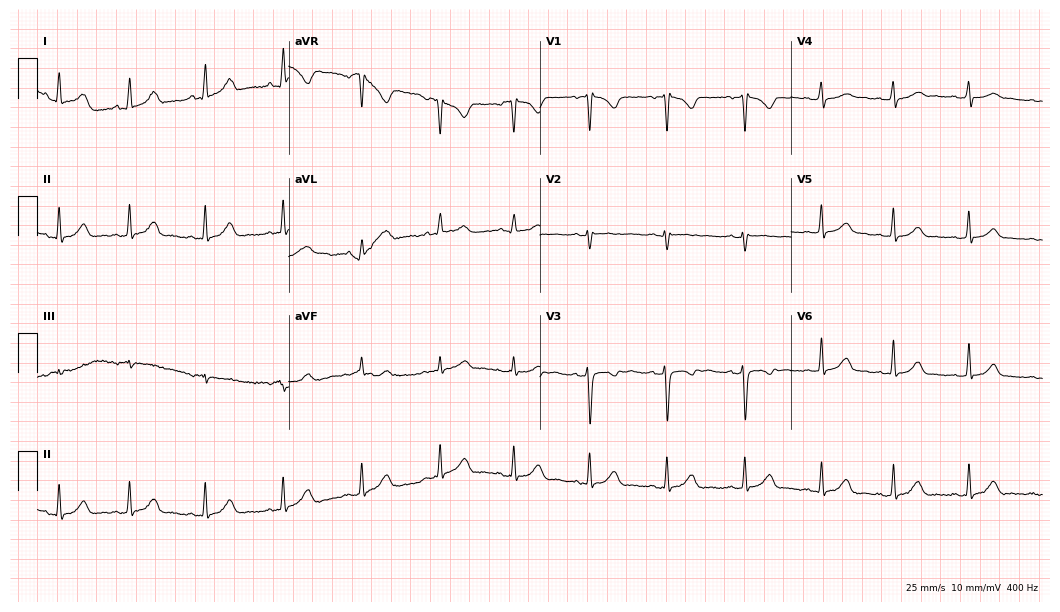
12-lead ECG from a 20-year-old male patient. Labelled as a normal ECG.